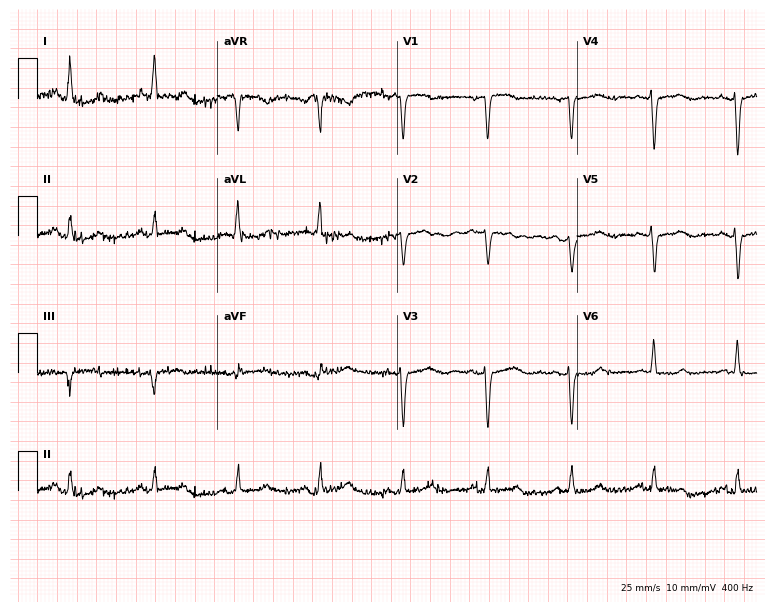
12-lead ECG from a woman, 83 years old. No first-degree AV block, right bundle branch block, left bundle branch block, sinus bradycardia, atrial fibrillation or sinus tachycardia recorded for this tracing. Findings outside these six are not listed.